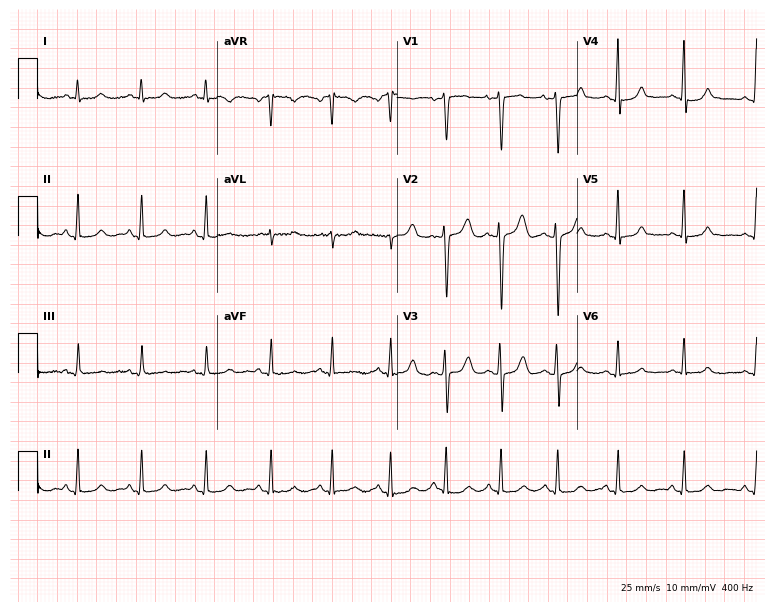
Resting 12-lead electrocardiogram. Patient: a 27-year-old woman. Read as a normal ECG.